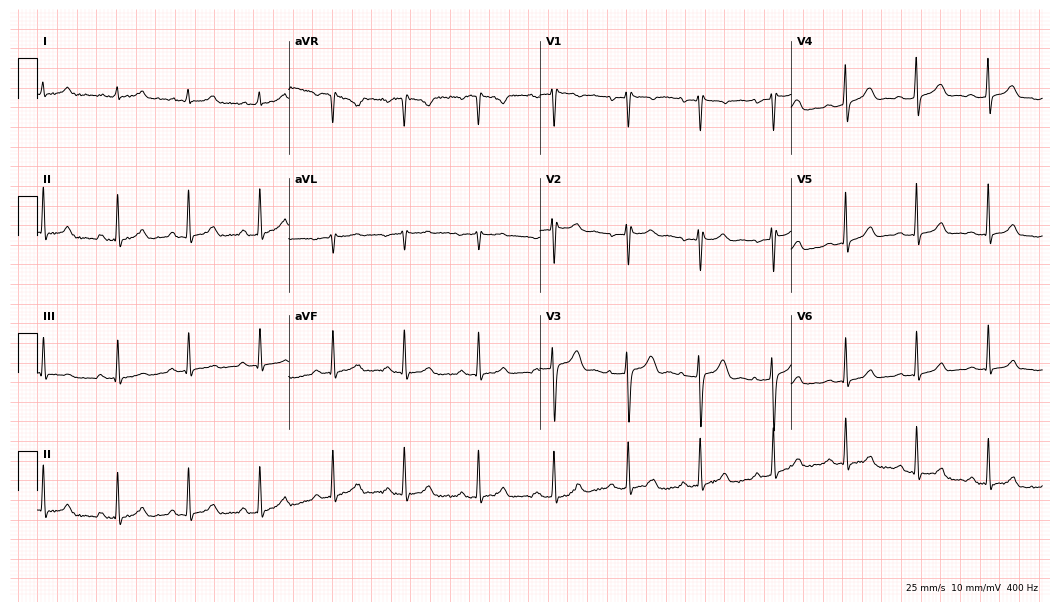
ECG (10.2-second recording at 400 Hz) — a woman, 33 years old. Labelled as a normal ECG.